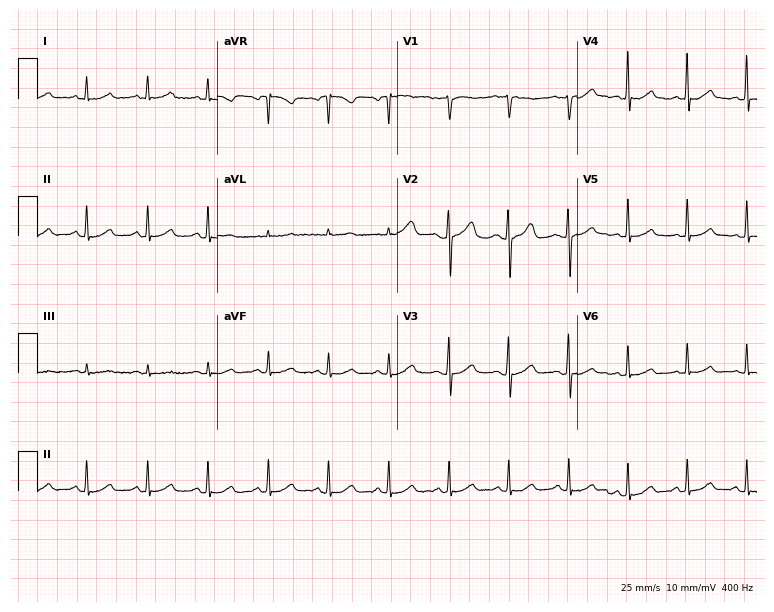
ECG — a female, 43 years old. Screened for six findings — first-degree AV block, right bundle branch block, left bundle branch block, sinus bradycardia, atrial fibrillation, sinus tachycardia — none is recorded. Only these six findings were labelled.